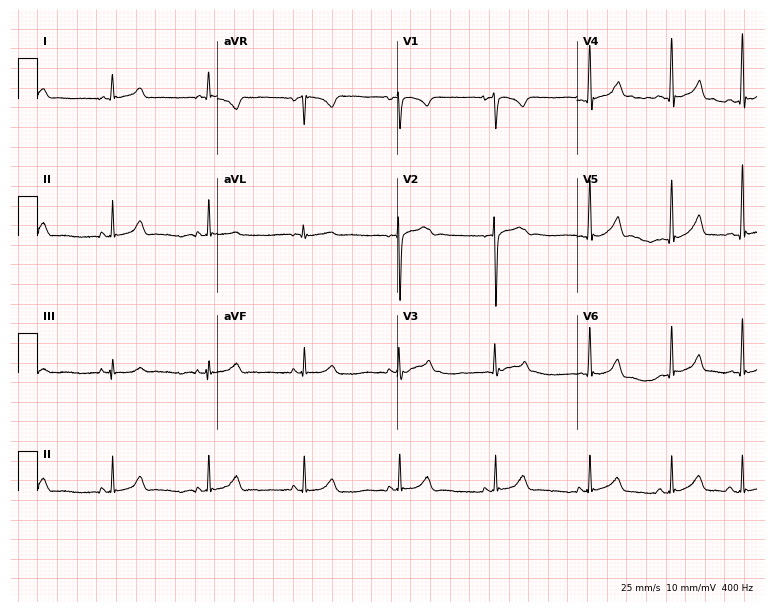
12-lead ECG (7.3-second recording at 400 Hz) from a male, 17 years old. Screened for six findings — first-degree AV block, right bundle branch block (RBBB), left bundle branch block (LBBB), sinus bradycardia, atrial fibrillation (AF), sinus tachycardia — none is recorded.